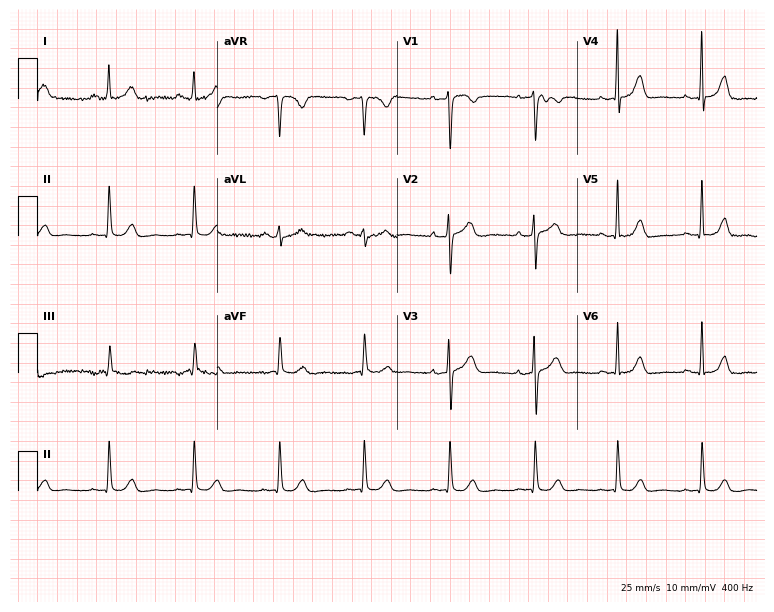
12-lead ECG from a female patient, 46 years old. Recorded interpretation: within normal limits.